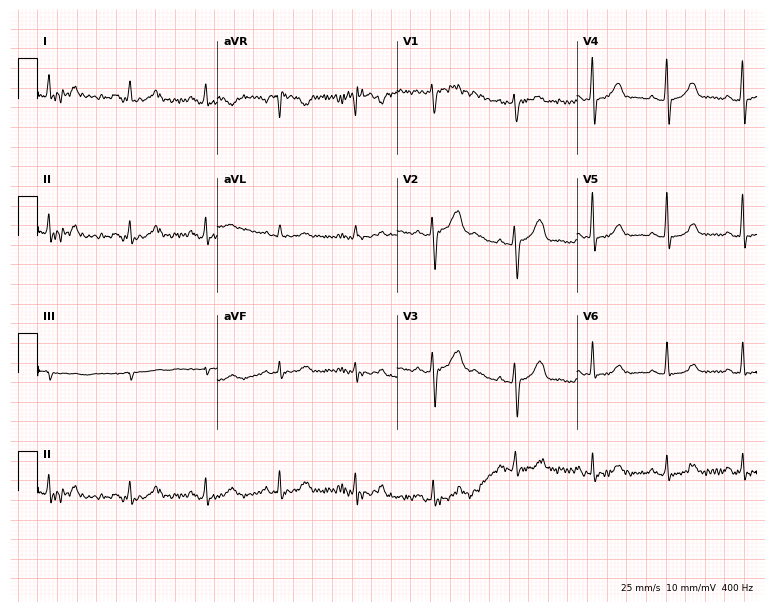
12-lead ECG (7.3-second recording at 400 Hz) from a 54-year-old female patient. Screened for six findings — first-degree AV block, right bundle branch block (RBBB), left bundle branch block (LBBB), sinus bradycardia, atrial fibrillation (AF), sinus tachycardia — none is recorded.